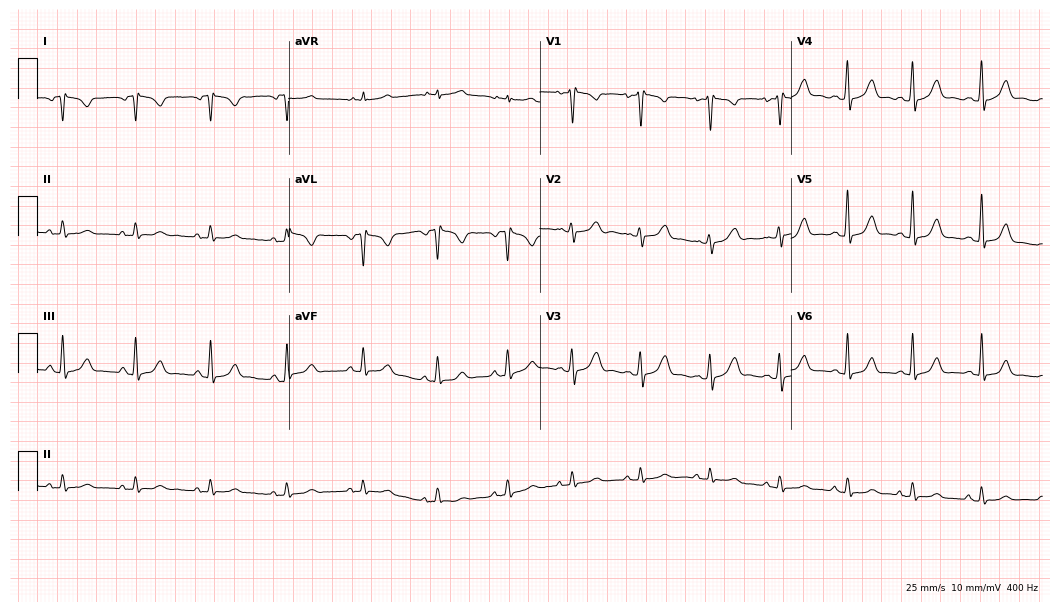
Electrocardiogram (10.2-second recording at 400 Hz), a female patient, 28 years old. Of the six screened findings (first-degree AV block, right bundle branch block, left bundle branch block, sinus bradycardia, atrial fibrillation, sinus tachycardia), none is recorded. Only these six findings were labelled.